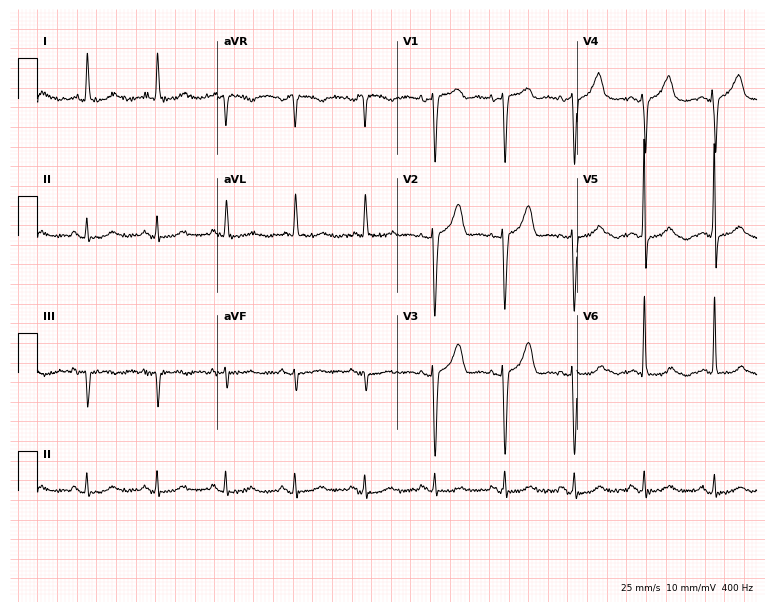
ECG — a 77-year-old female patient. Screened for six findings — first-degree AV block, right bundle branch block, left bundle branch block, sinus bradycardia, atrial fibrillation, sinus tachycardia — none is recorded.